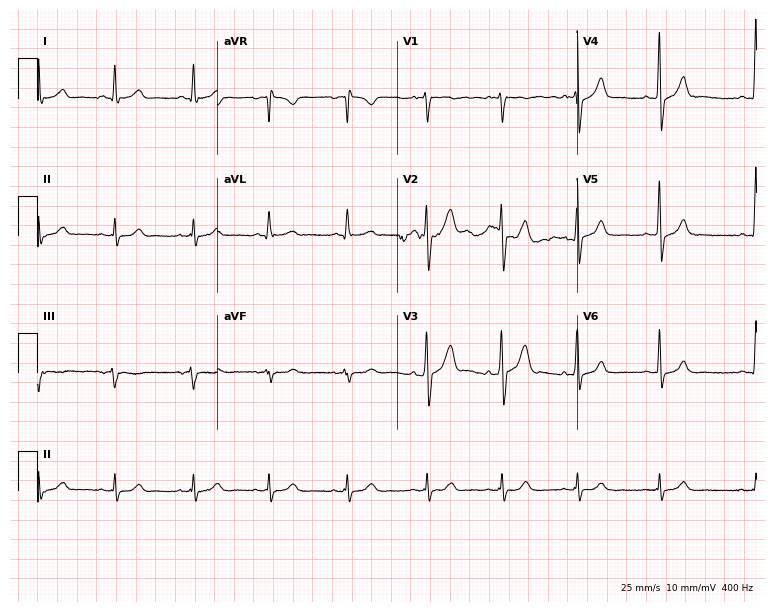
12-lead ECG from a man, 34 years old. Labelled as a normal ECG.